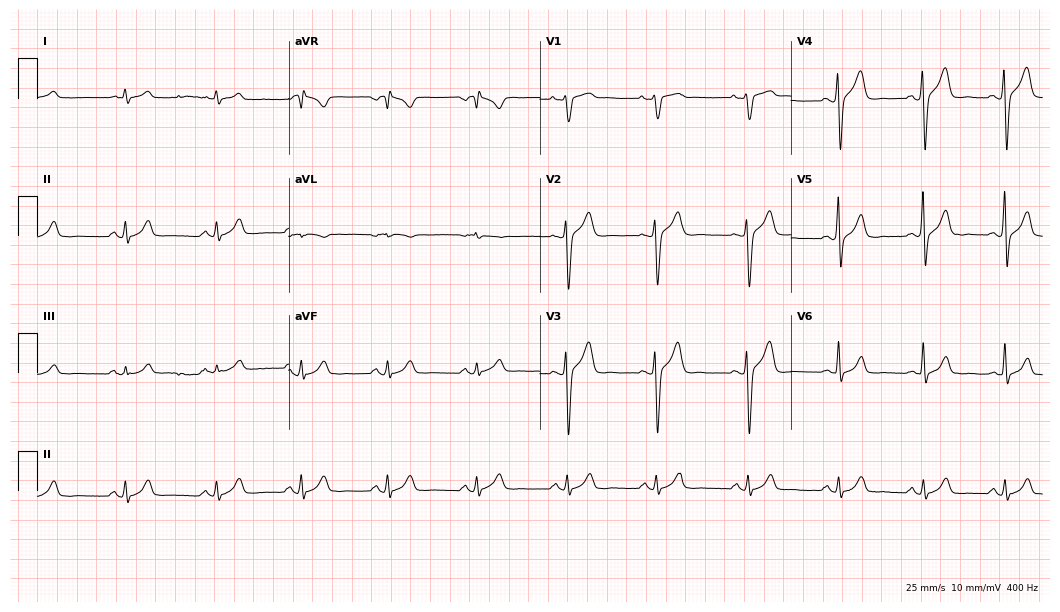
ECG (10.2-second recording at 400 Hz) — a 39-year-old male. Labelled as a normal ECG.